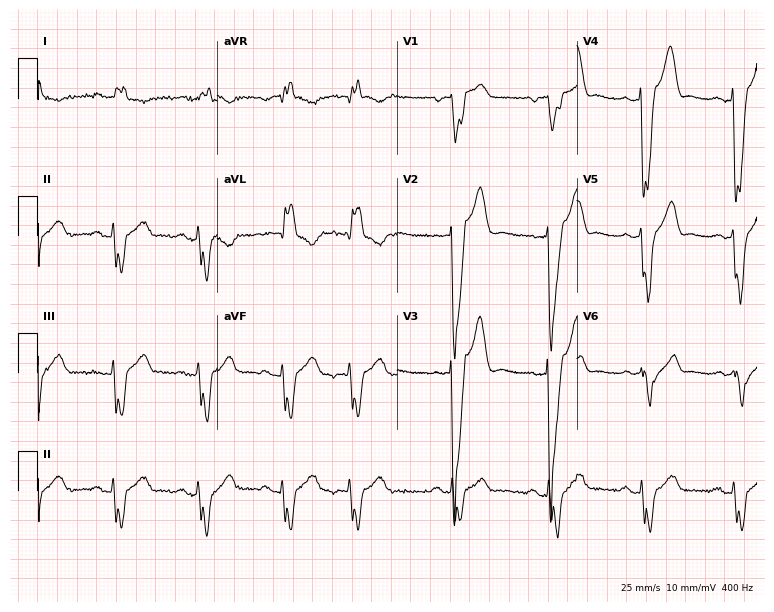
ECG — a 76-year-old man. Findings include left bundle branch block (LBBB).